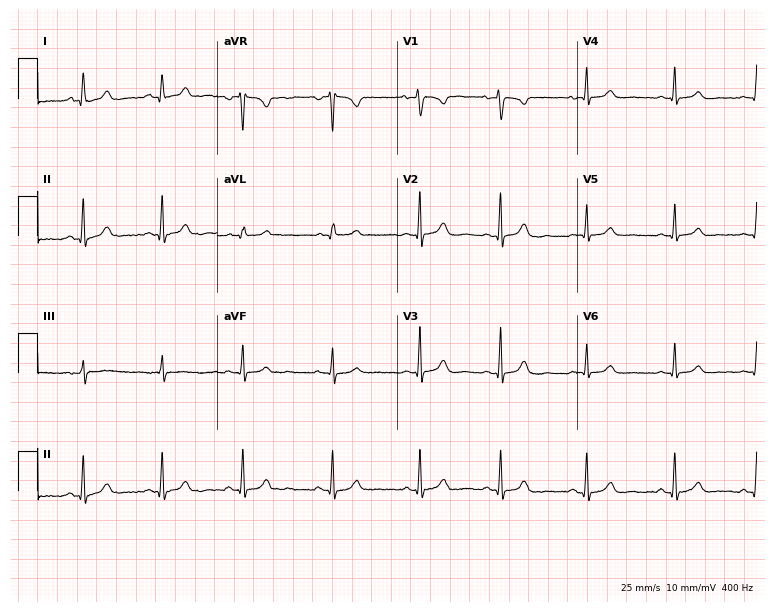
ECG — a female patient, 28 years old. Labelled as a normal ECG.